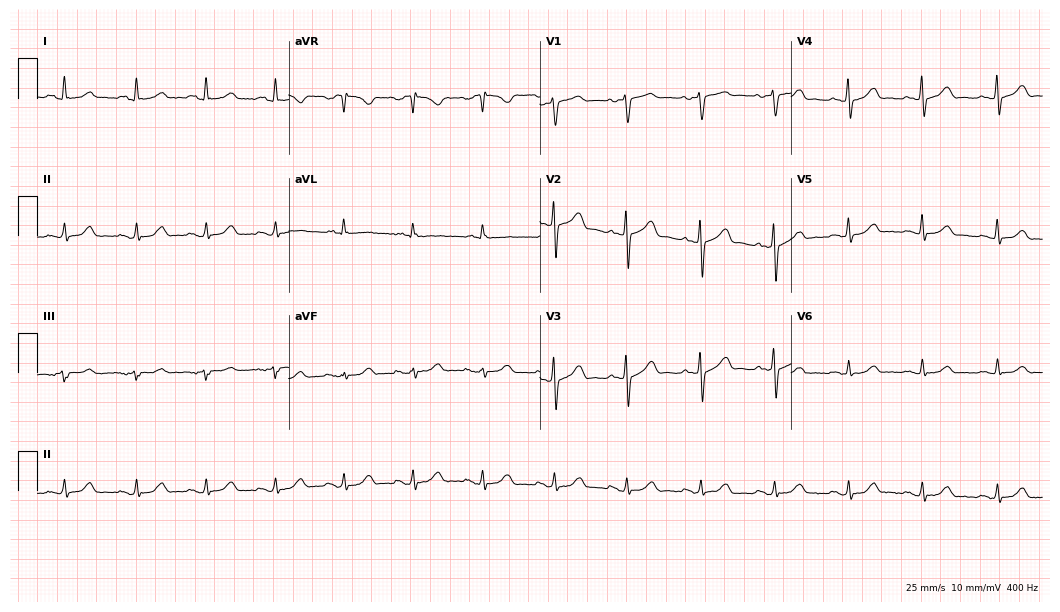
ECG — a 66-year-old female. Labelled as a normal ECG.